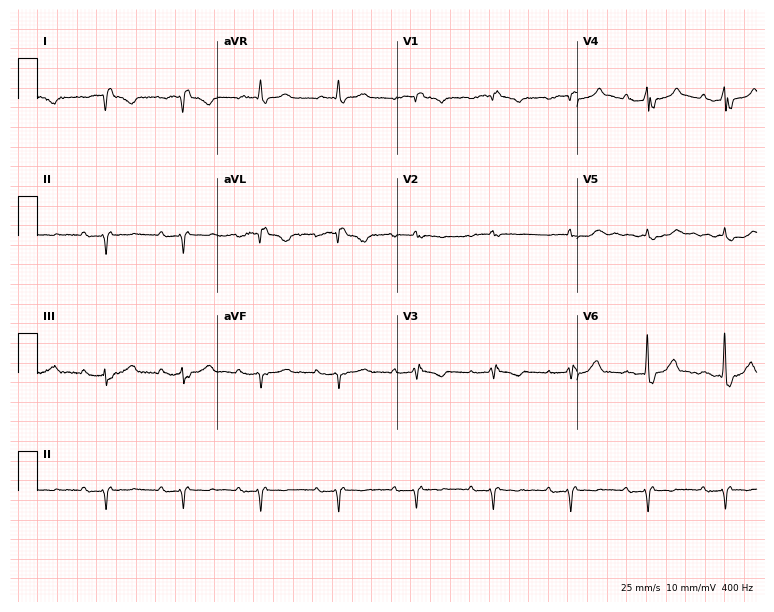
12-lead ECG from an 81-year-old woman (7.3-second recording at 400 Hz). No first-degree AV block, right bundle branch block, left bundle branch block, sinus bradycardia, atrial fibrillation or sinus tachycardia recorded for this tracing. Only these six findings were labelled.